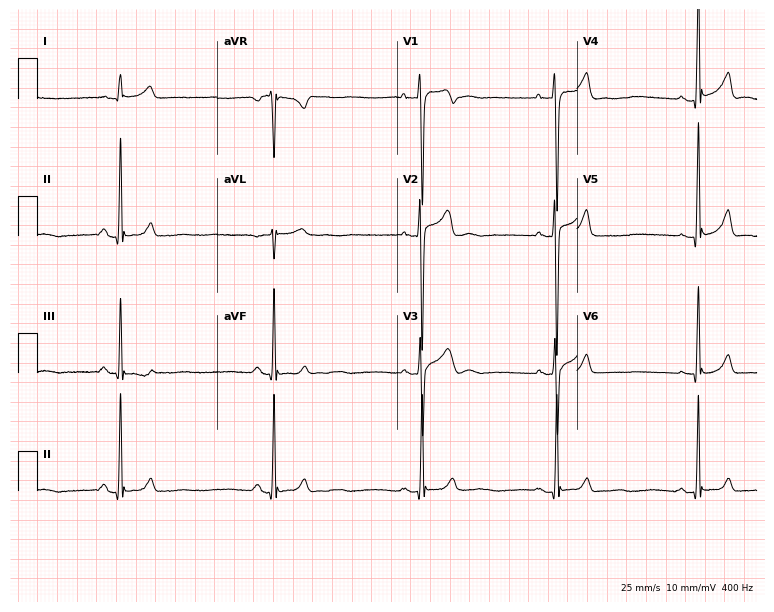
12-lead ECG from a male patient, 21 years old. Findings include sinus bradycardia (a sinus rate of 50 beats per minute or less).